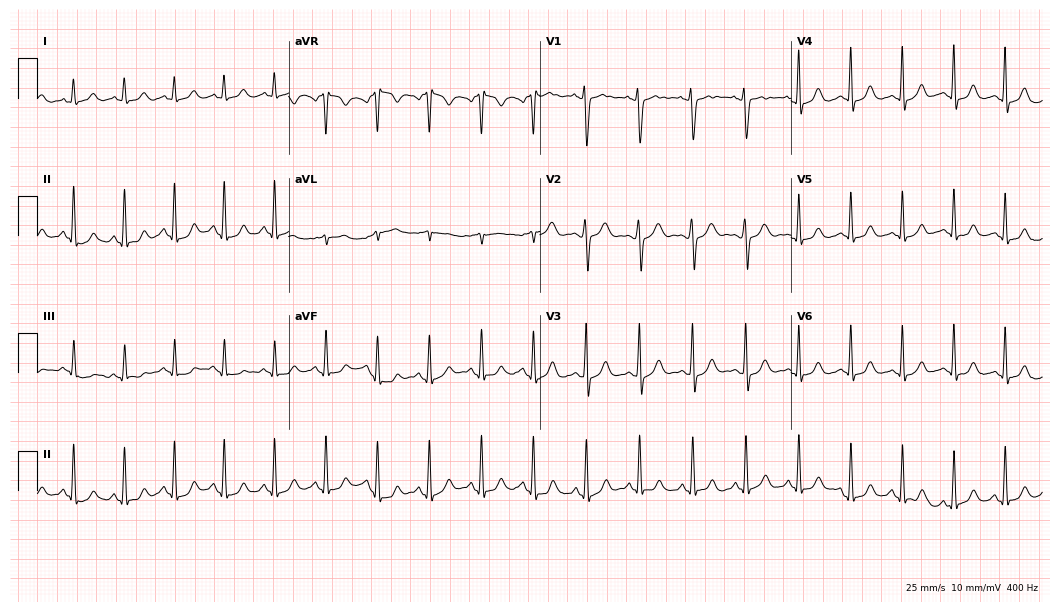
12-lead ECG from a man, 29 years old. Shows sinus tachycardia (a sinus rate of 100 beats per minute or more).